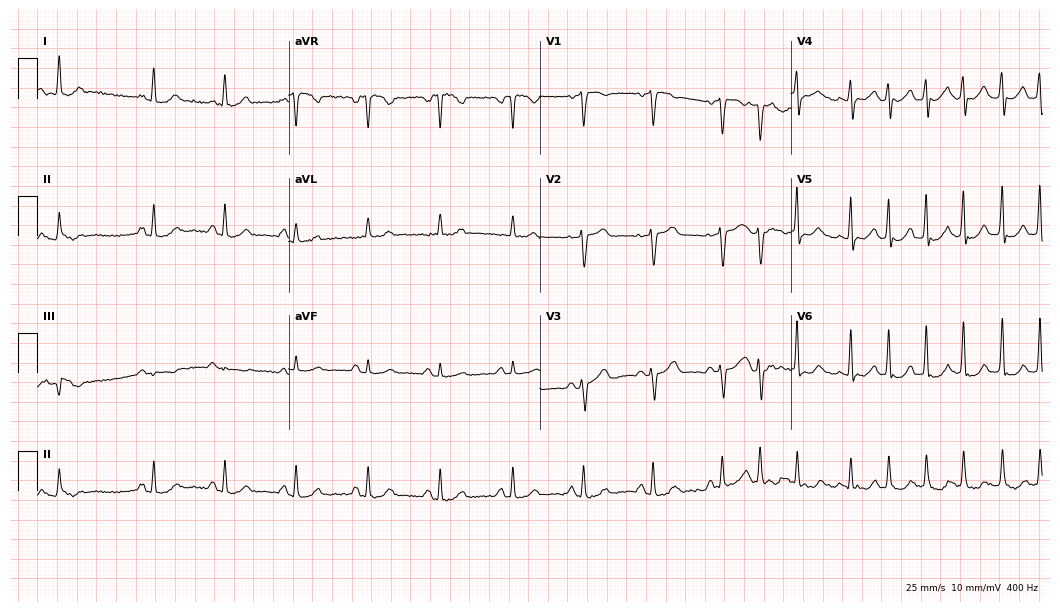
12-lead ECG from a 60-year-old woman (10.2-second recording at 400 Hz). No first-degree AV block, right bundle branch block, left bundle branch block, sinus bradycardia, atrial fibrillation or sinus tachycardia recorded for this tracing.